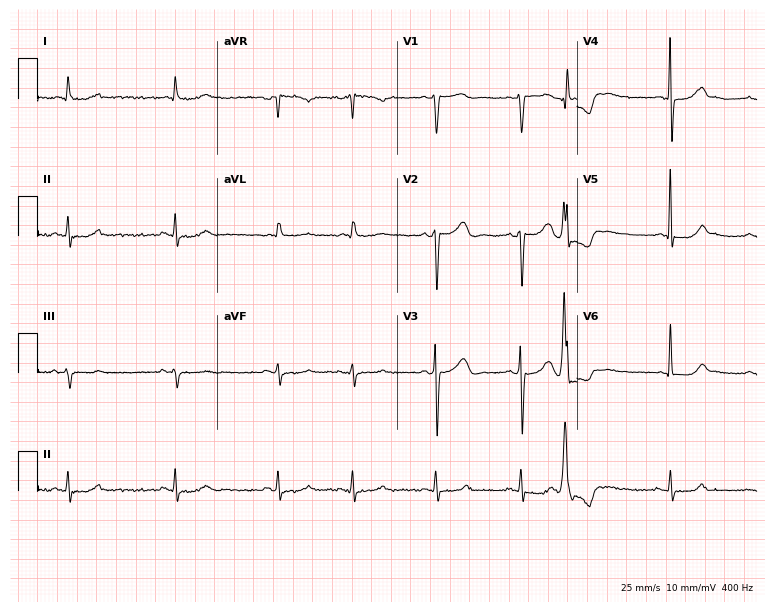
Electrocardiogram, a 76-year-old man. Of the six screened findings (first-degree AV block, right bundle branch block, left bundle branch block, sinus bradycardia, atrial fibrillation, sinus tachycardia), none is recorded.